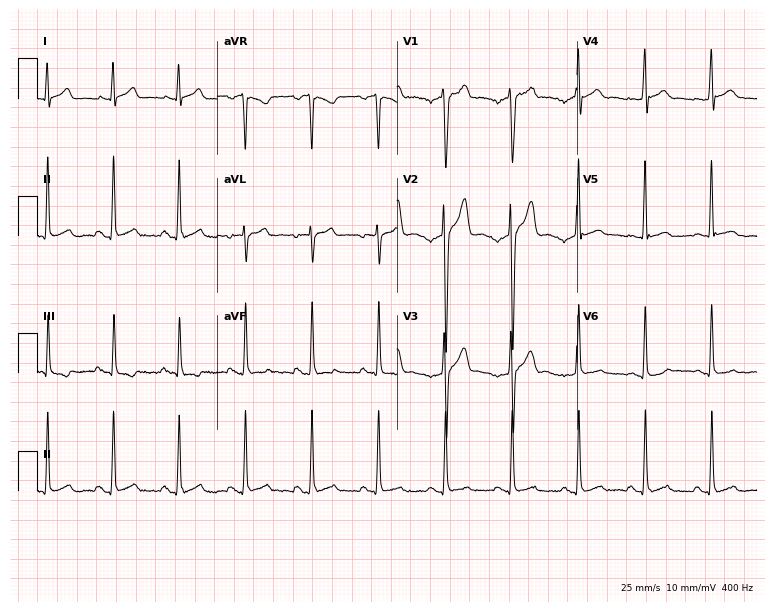
ECG (7.3-second recording at 400 Hz) — a male, 25 years old. Screened for six findings — first-degree AV block, right bundle branch block, left bundle branch block, sinus bradycardia, atrial fibrillation, sinus tachycardia — none is recorded. Findings outside these six are not listed.